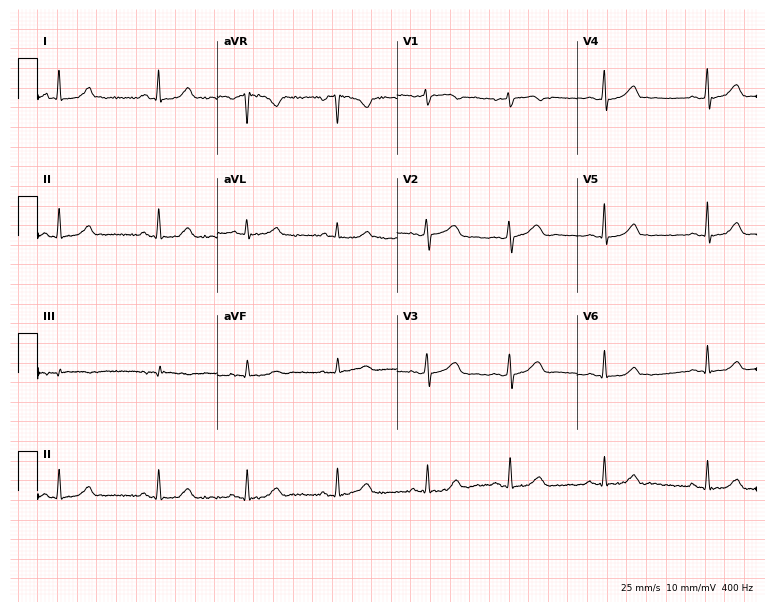
12-lead ECG from a 44-year-old female. No first-degree AV block, right bundle branch block, left bundle branch block, sinus bradycardia, atrial fibrillation or sinus tachycardia recorded for this tracing. Only these six findings were labelled.